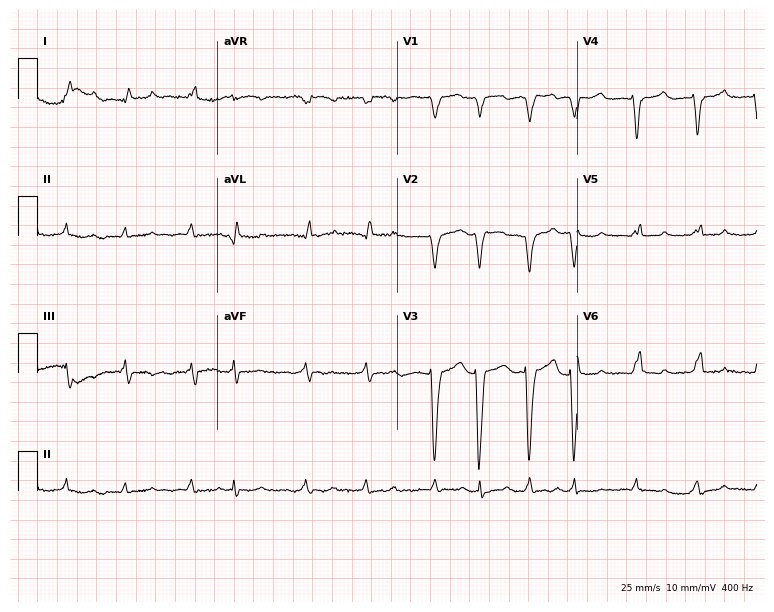
12-lead ECG from an 81-year-old woman. Findings include atrial fibrillation.